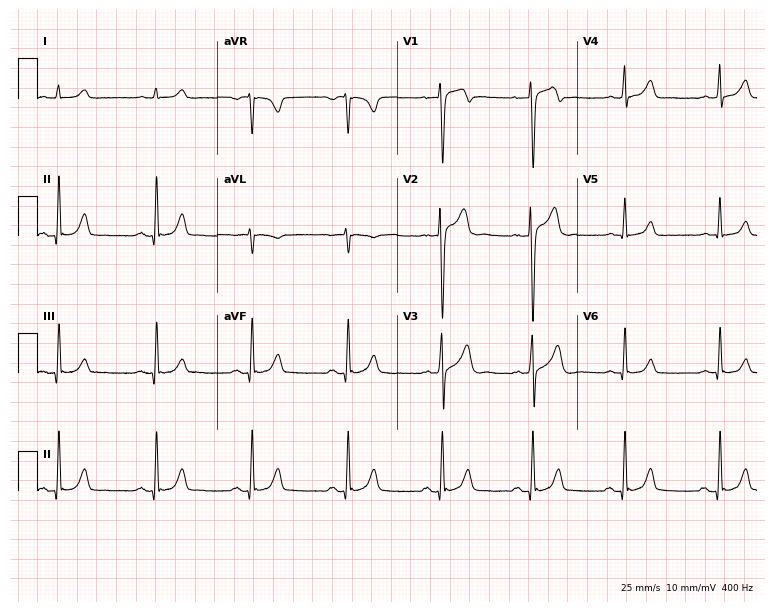
12-lead ECG from a man, 34 years old. Recorded interpretation: within normal limits.